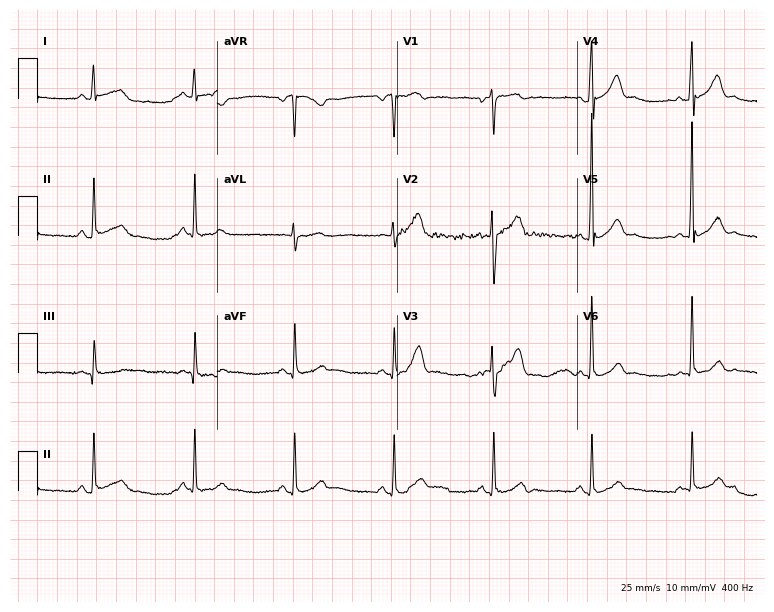
ECG — a male patient, 54 years old. Labelled as a normal ECG.